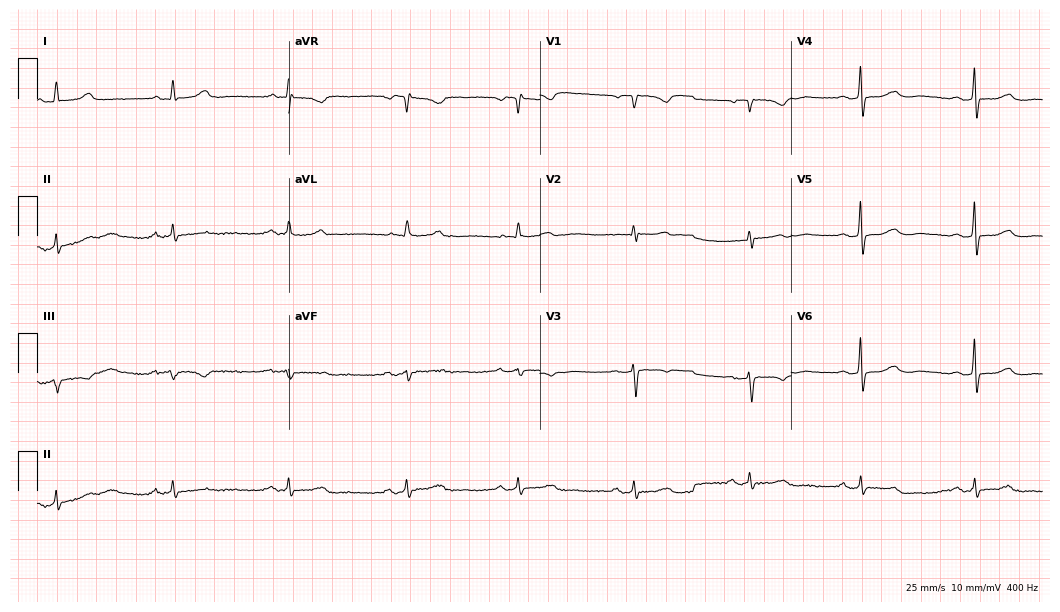
Electrocardiogram (10.2-second recording at 400 Hz), a 77-year-old female patient. Of the six screened findings (first-degree AV block, right bundle branch block (RBBB), left bundle branch block (LBBB), sinus bradycardia, atrial fibrillation (AF), sinus tachycardia), none is recorded. Only these six findings were labelled.